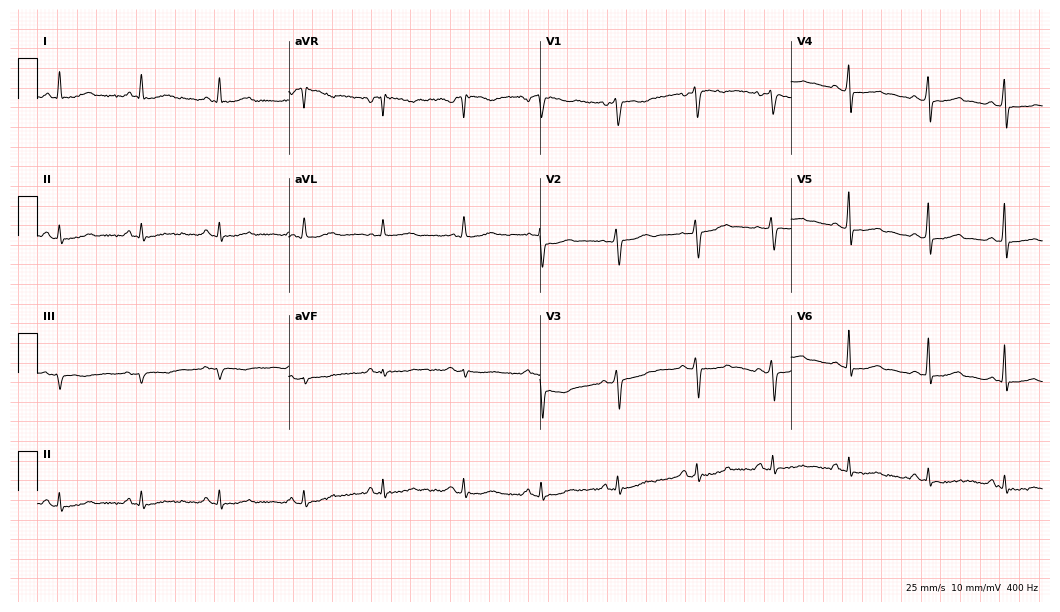
Resting 12-lead electrocardiogram (10.2-second recording at 400 Hz). Patient: a 57-year-old female. Read as a normal ECG.